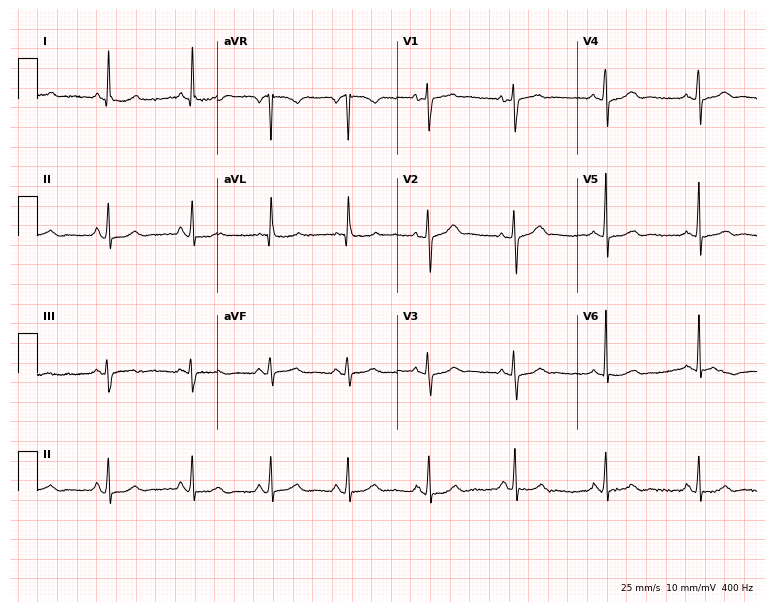
12-lead ECG from a 63-year-old female patient (7.3-second recording at 400 Hz). Recorded interpretation: within normal limits.